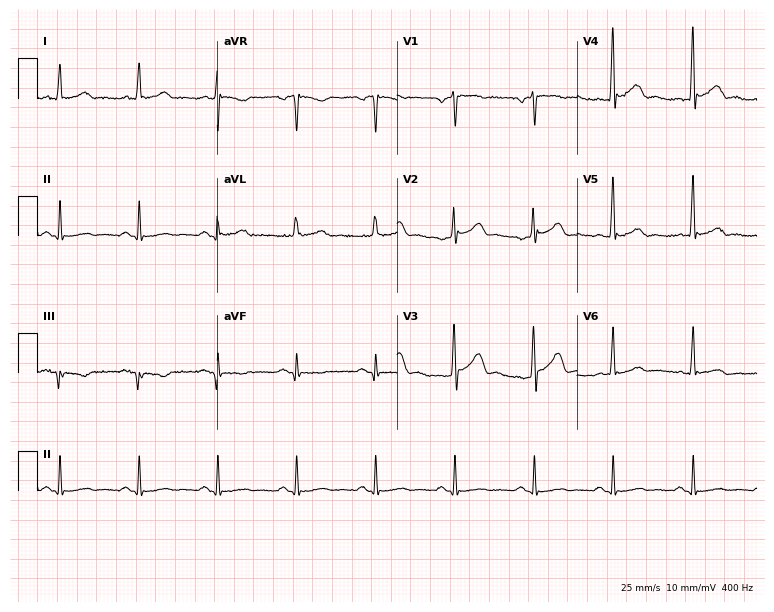
12-lead ECG from a male patient, 37 years old (7.3-second recording at 400 Hz). No first-degree AV block, right bundle branch block (RBBB), left bundle branch block (LBBB), sinus bradycardia, atrial fibrillation (AF) or sinus tachycardia recorded for this tracing. Other findings, if any, are not listed.